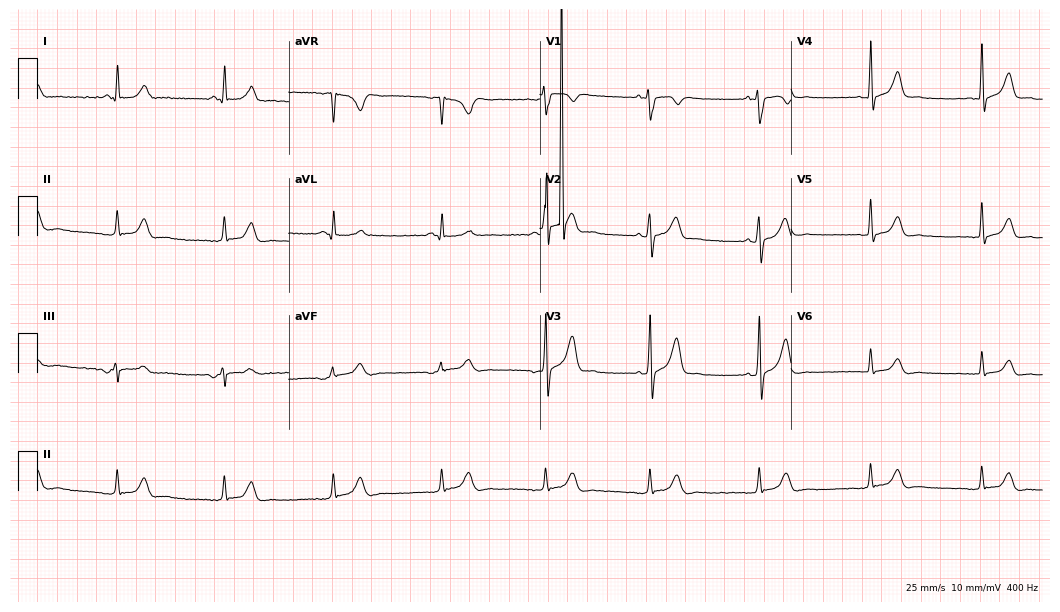
12-lead ECG (10.2-second recording at 400 Hz) from a 34-year-old male. Labelled as a normal ECG.